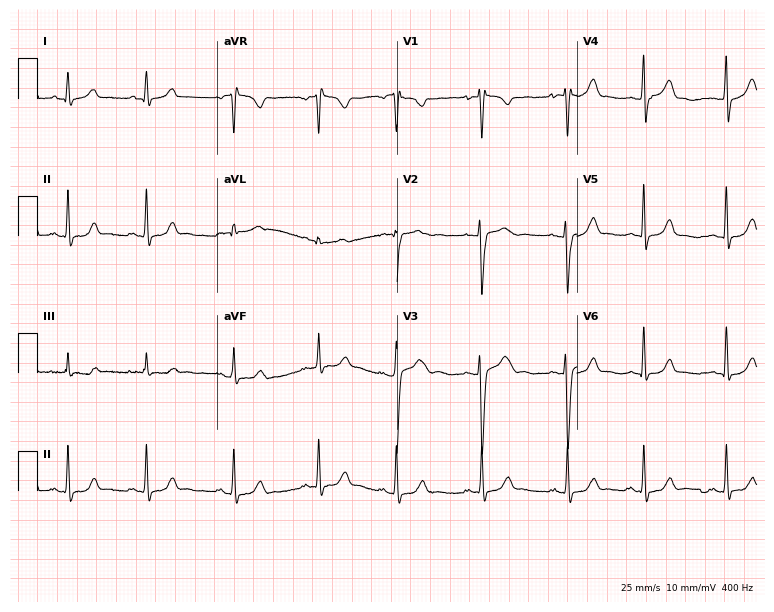
12-lead ECG (7.3-second recording at 400 Hz) from a female, 18 years old. Labelled as a normal ECG.